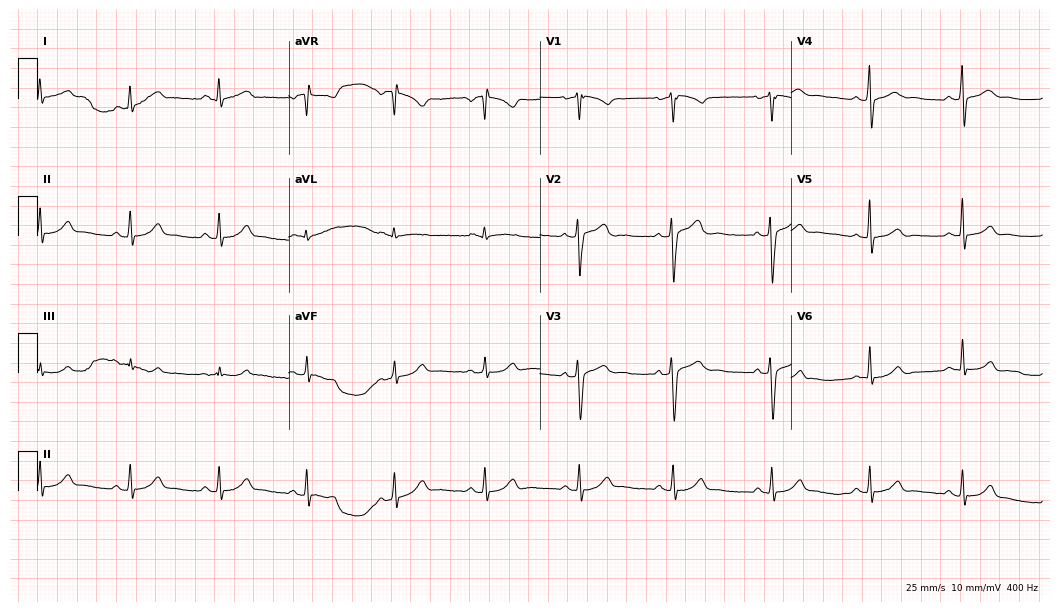
12-lead ECG from a man, 36 years old (10.2-second recording at 400 Hz). Recorded interpretation: within normal limits.